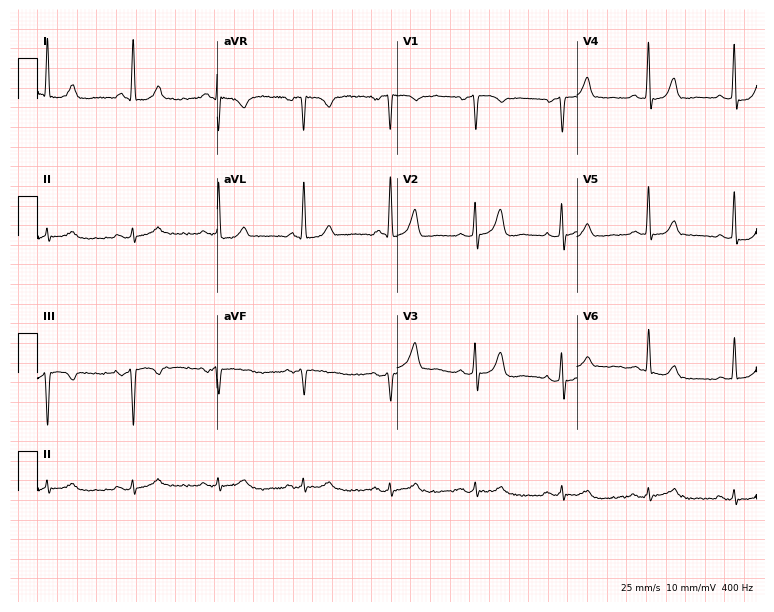
12-lead ECG from a 67-year-old male. No first-degree AV block, right bundle branch block (RBBB), left bundle branch block (LBBB), sinus bradycardia, atrial fibrillation (AF) or sinus tachycardia recorded for this tracing.